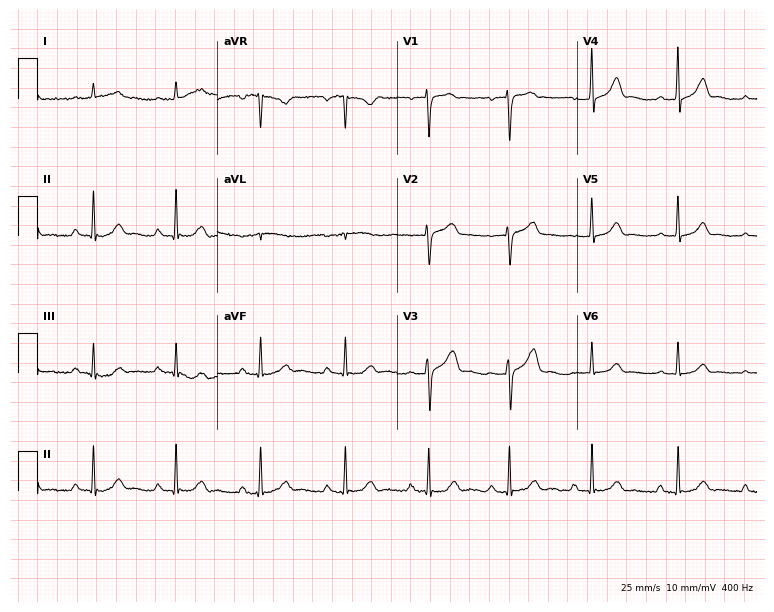
12-lead ECG from a man, 59 years old. Screened for six findings — first-degree AV block, right bundle branch block, left bundle branch block, sinus bradycardia, atrial fibrillation, sinus tachycardia — none is recorded.